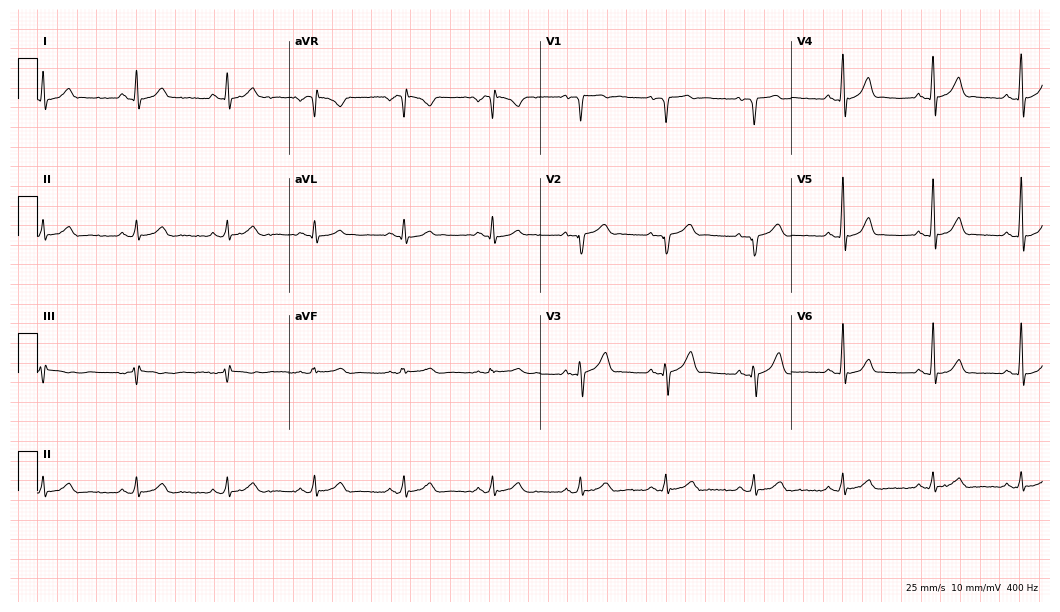
Standard 12-lead ECG recorded from a 48-year-old male patient (10.2-second recording at 400 Hz). None of these six findings is recorded: first-degree AV block, right bundle branch block (RBBB), left bundle branch block (LBBB), sinus bradycardia, atrial fibrillation (AF), sinus tachycardia.